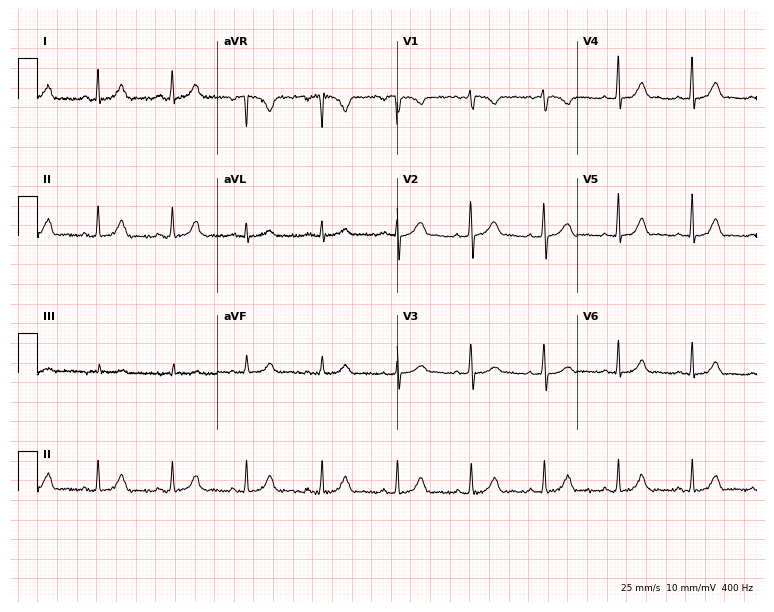
ECG (7.3-second recording at 400 Hz) — a female, 34 years old. Labelled as a normal ECG.